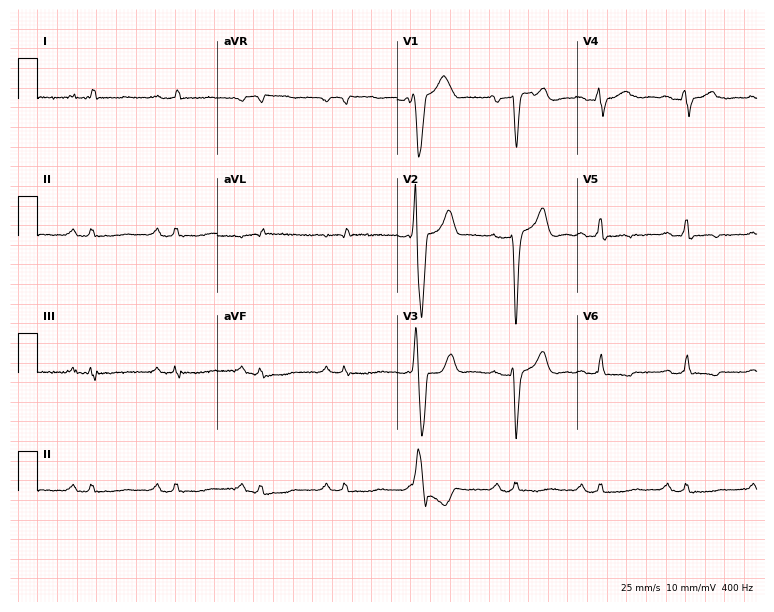
12-lead ECG from a male, 63 years old (7.3-second recording at 400 Hz). Shows first-degree AV block.